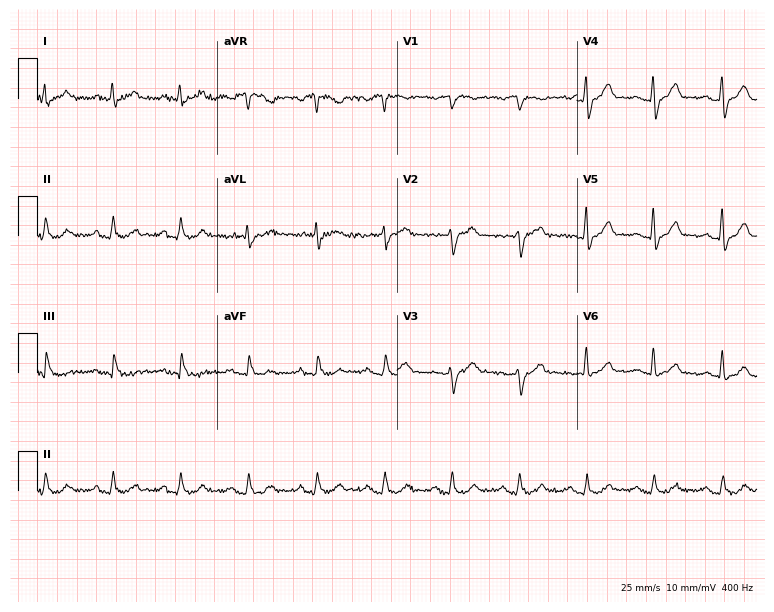
ECG (7.3-second recording at 400 Hz) — a man, 65 years old. Labelled as a normal ECG.